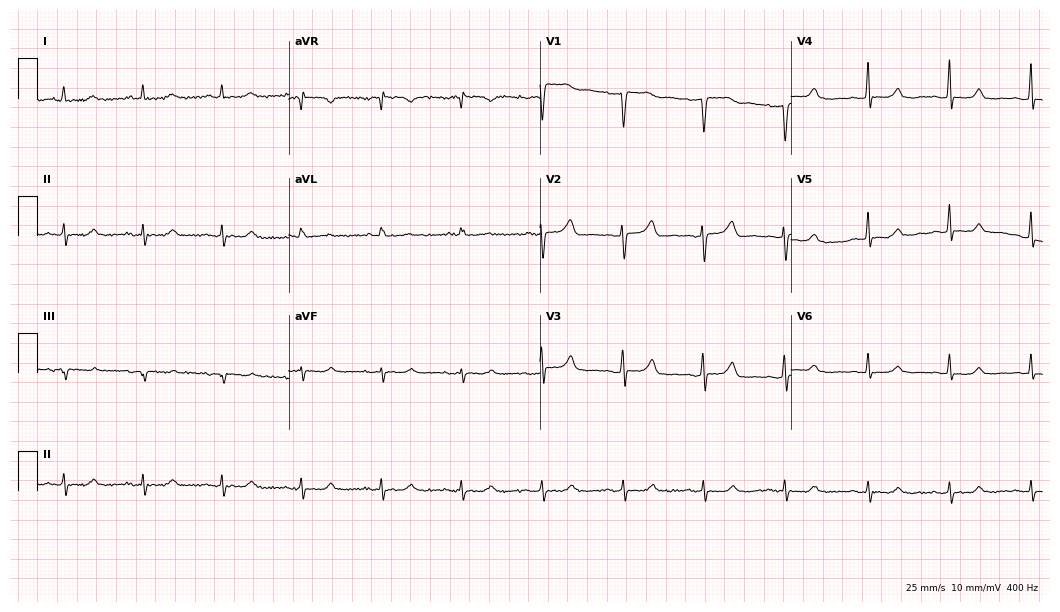
12-lead ECG from a 51-year-old female patient. Recorded interpretation: within normal limits.